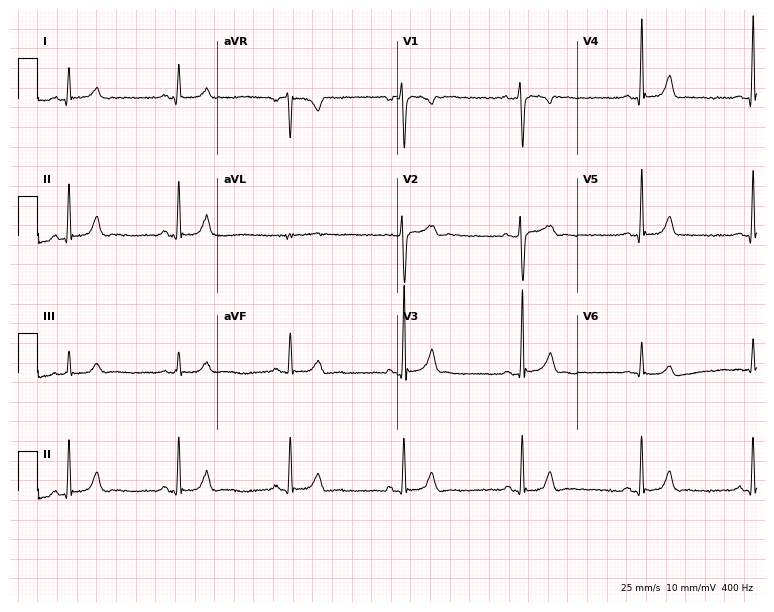
12-lead ECG (7.3-second recording at 400 Hz) from a 22-year-old woman. Labelled as a normal ECG.